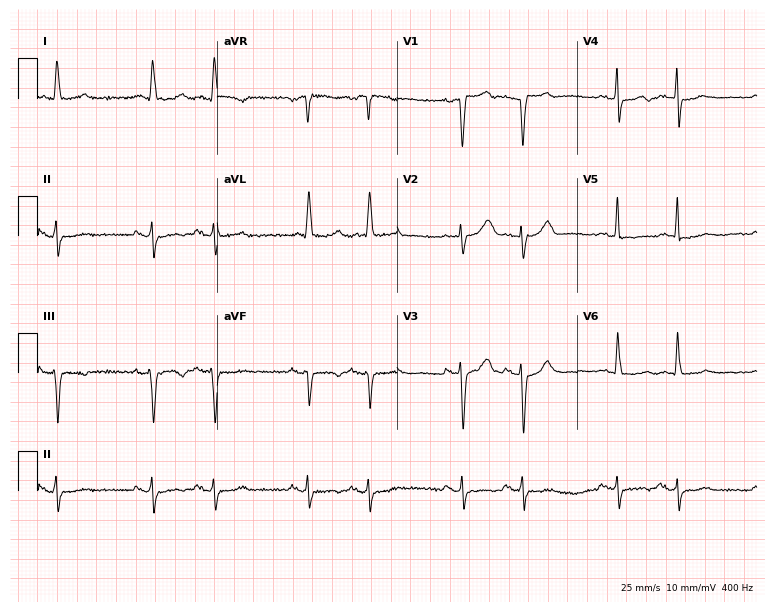
12-lead ECG (7.3-second recording at 400 Hz) from an 83-year-old male patient. Screened for six findings — first-degree AV block, right bundle branch block, left bundle branch block, sinus bradycardia, atrial fibrillation, sinus tachycardia — none is recorded. Findings outside these six are not listed.